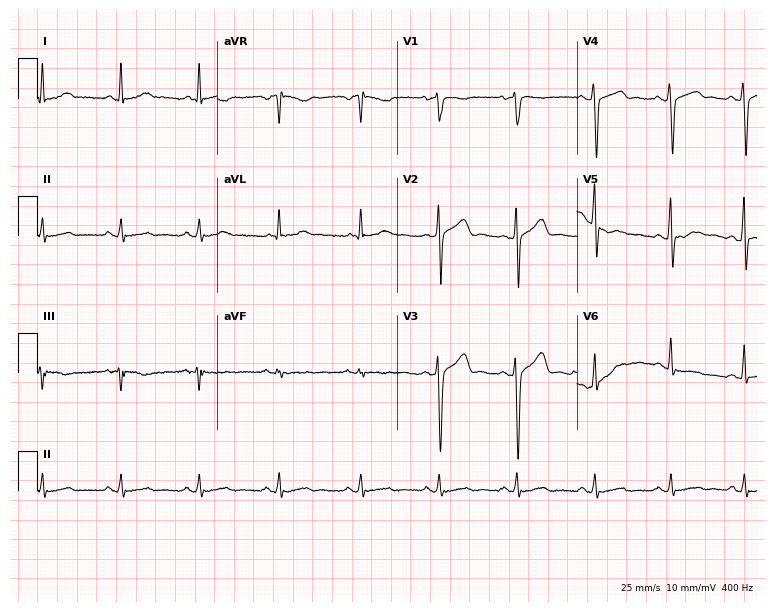
ECG — a 39-year-old male patient. Screened for six findings — first-degree AV block, right bundle branch block, left bundle branch block, sinus bradycardia, atrial fibrillation, sinus tachycardia — none is recorded.